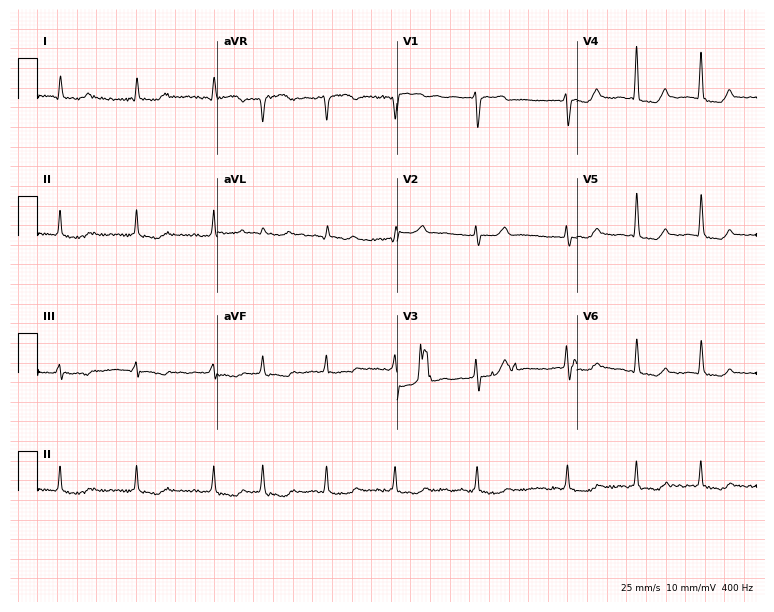
12-lead ECG from a female patient, 75 years old (7.3-second recording at 400 Hz). Shows atrial fibrillation.